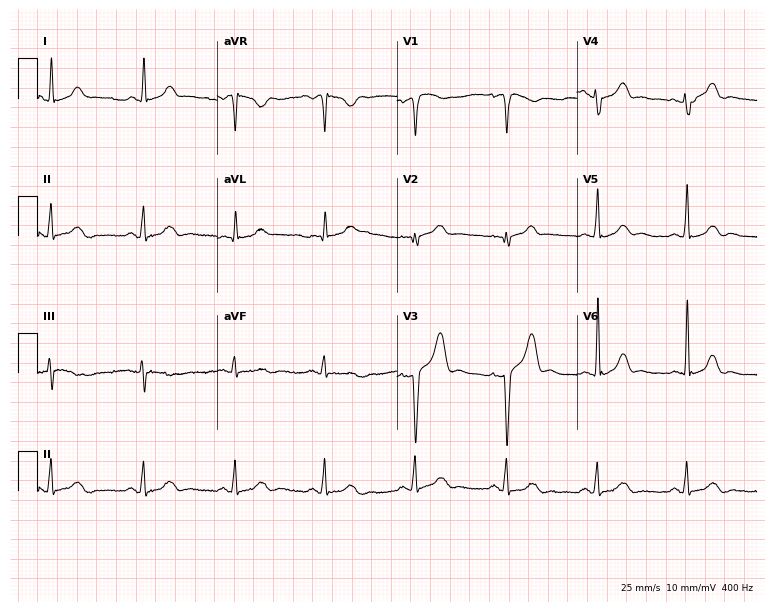
Standard 12-lead ECG recorded from a man, 41 years old. None of these six findings is recorded: first-degree AV block, right bundle branch block (RBBB), left bundle branch block (LBBB), sinus bradycardia, atrial fibrillation (AF), sinus tachycardia. Findings outside these six are not listed.